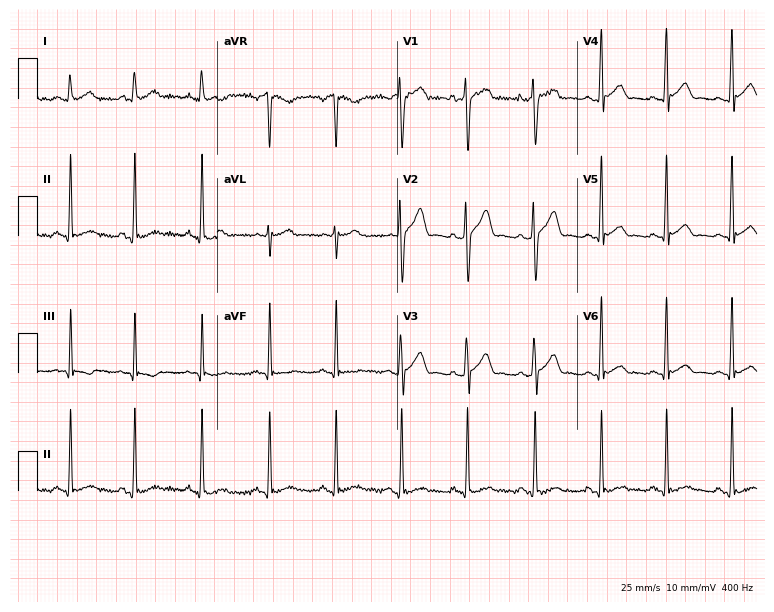
Electrocardiogram, a male, 20 years old. Overall reading on record: normal ECG.